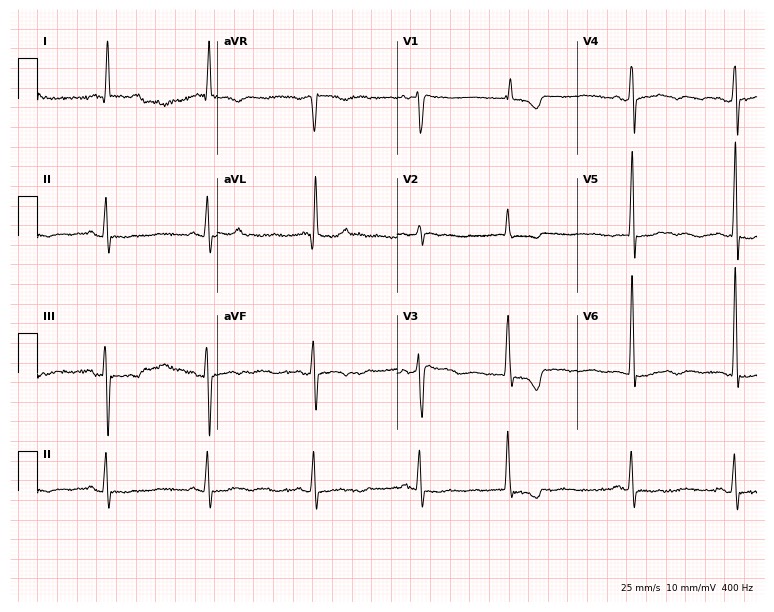
ECG (7.3-second recording at 400 Hz) — a 75-year-old male patient. Labelled as a normal ECG.